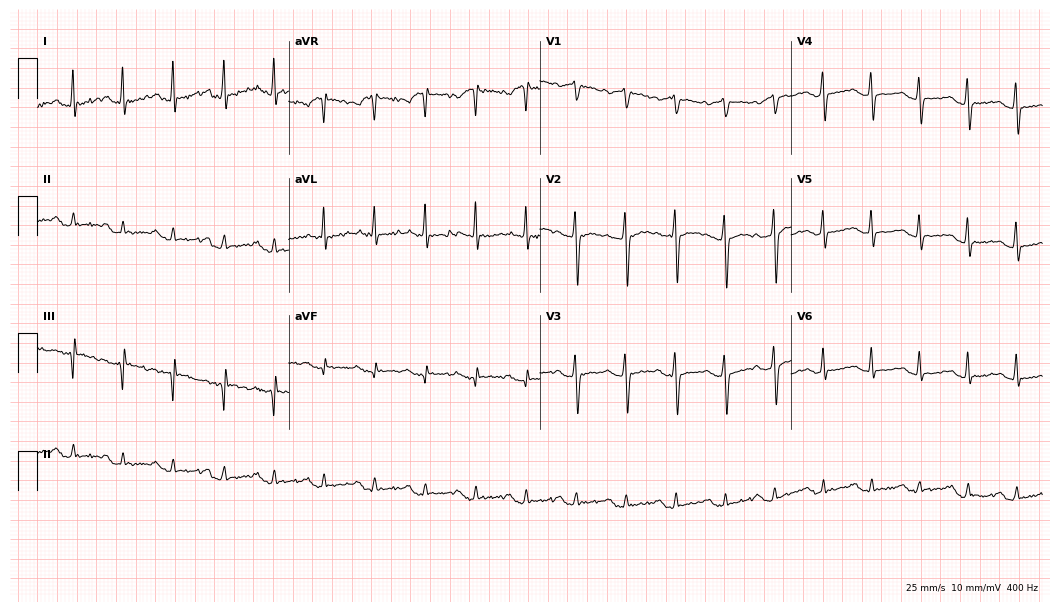
12-lead ECG from a 43-year-old female patient. Findings include sinus tachycardia (a sinus rate of 100 beats per minute or more).